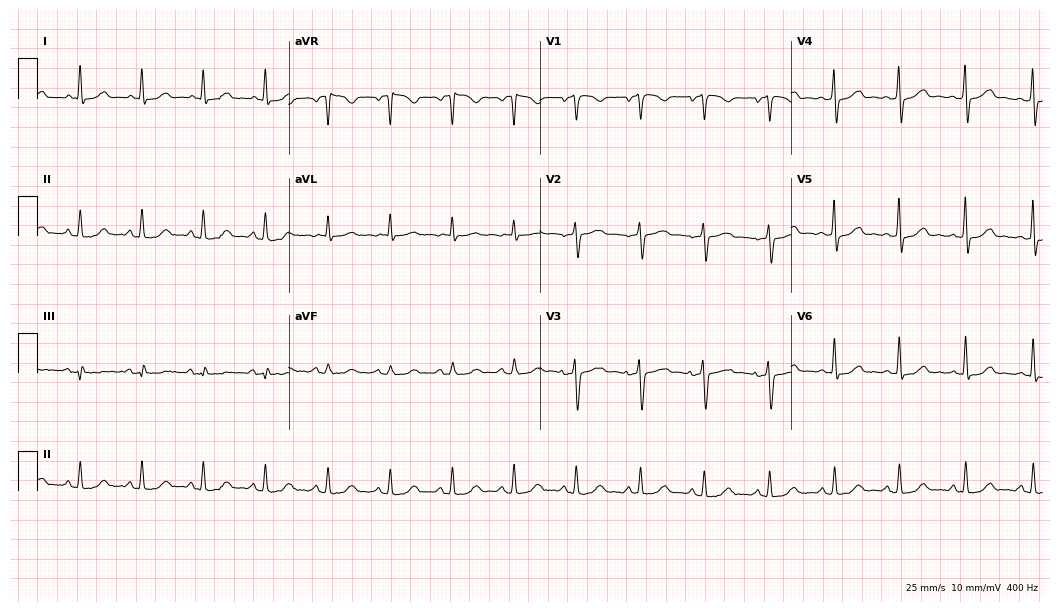
Standard 12-lead ECG recorded from a 45-year-old female (10.2-second recording at 400 Hz). Read as a normal ECG.